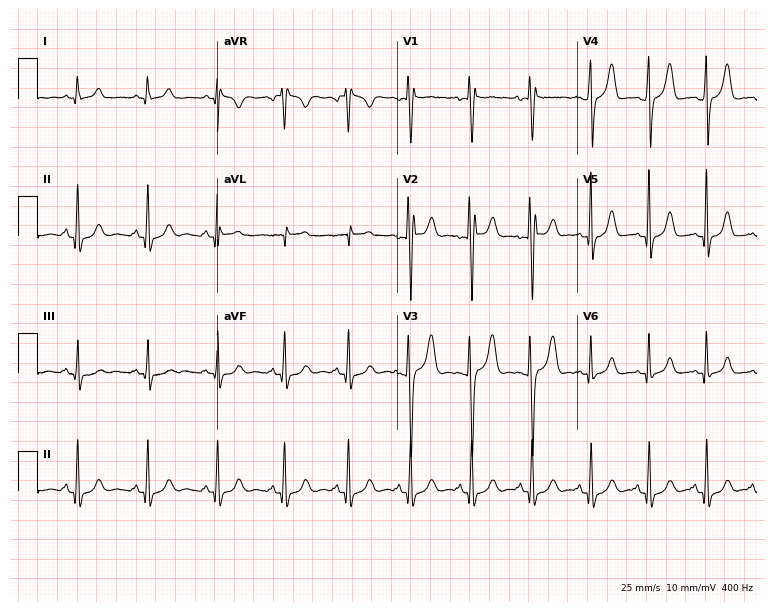
ECG (7.3-second recording at 400 Hz) — a 38-year-old female. Screened for six findings — first-degree AV block, right bundle branch block, left bundle branch block, sinus bradycardia, atrial fibrillation, sinus tachycardia — none is recorded. Only these six findings were labelled.